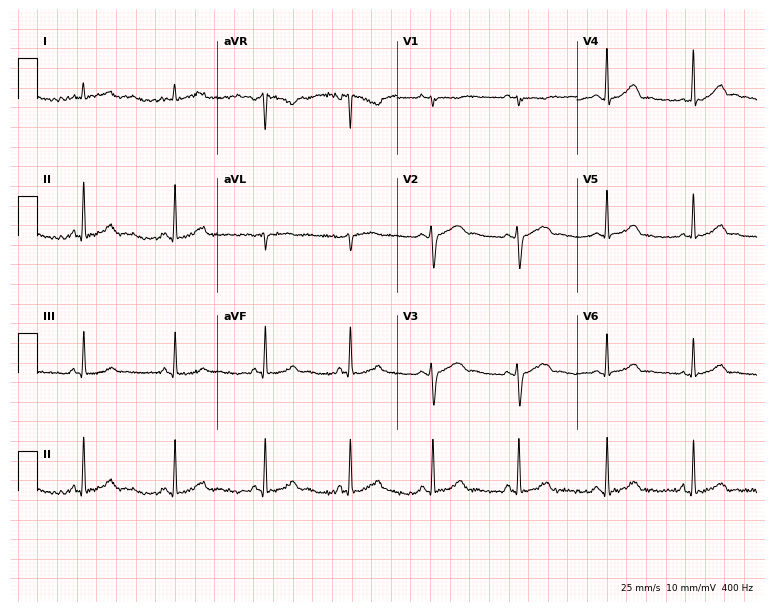
ECG — a 24-year-old female. Labelled as a normal ECG.